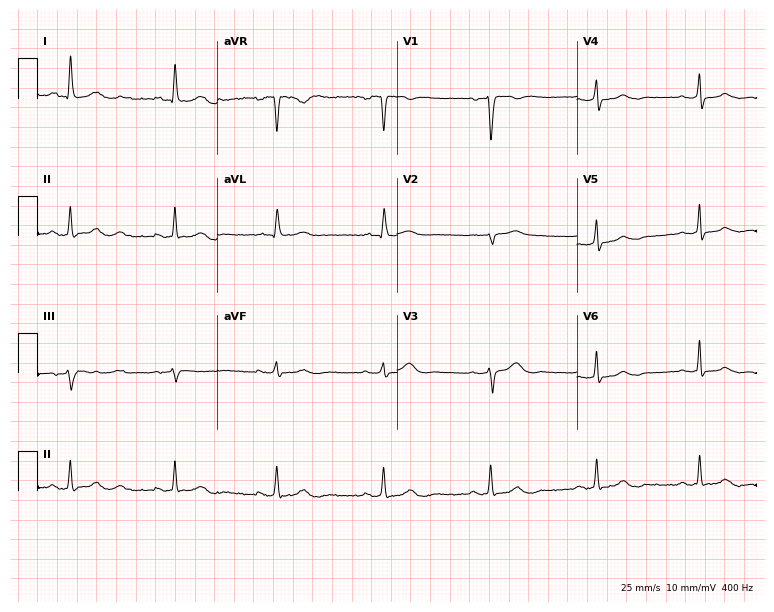
Resting 12-lead electrocardiogram (7.3-second recording at 400 Hz). Patient: a female, 53 years old. None of these six findings is recorded: first-degree AV block, right bundle branch block, left bundle branch block, sinus bradycardia, atrial fibrillation, sinus tachycardia.